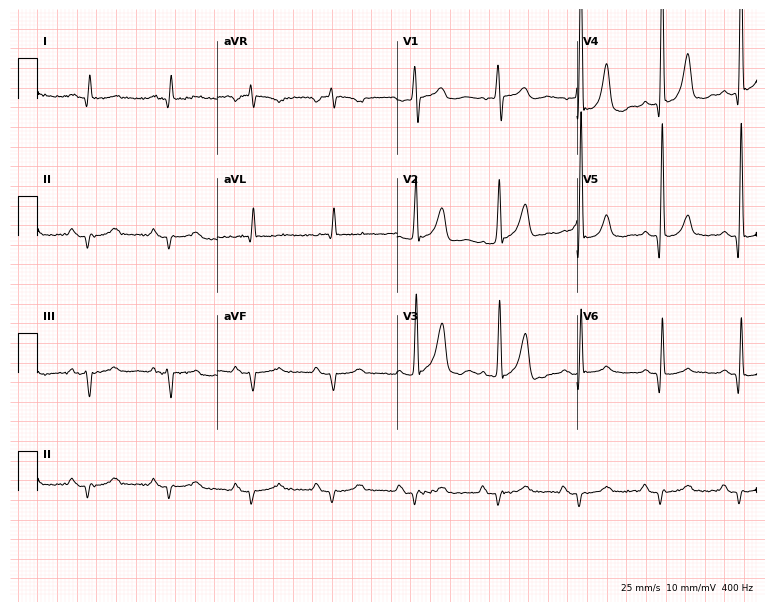
Standard 12-lead ECG recorded from a 71-year-old male patient (7.3-second recording at 400 Hz). None of these six findings is recorded: first-degree AV block, right bundle branch block (RBBB), left bundle branch block (LBBB), sinus bradycardia, atrial fibrillation (AF), sinus tachycardia.